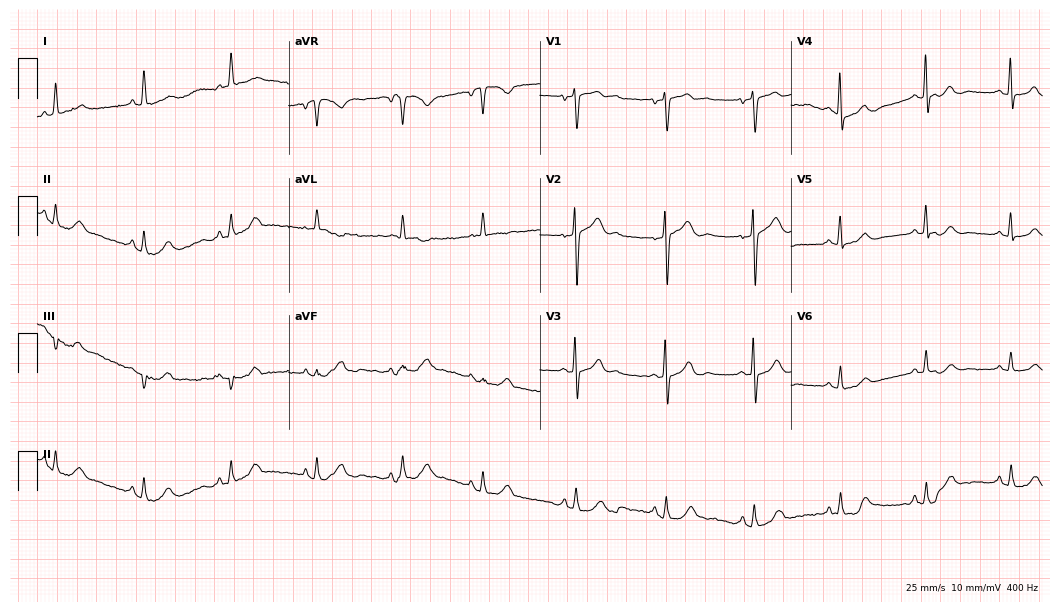
Resting 12-lead electrocardiogram (10.2-second recording at 400 Hz). Patient: a 73-year-old female. Read as a normal ECG.